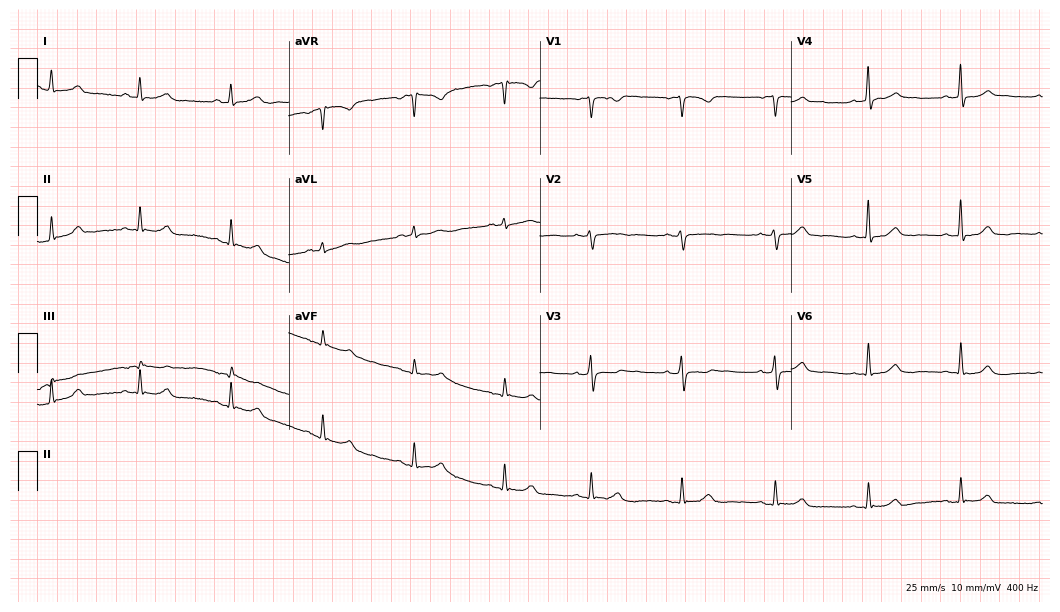
12-lead ECG from a female patient, 42 years old. Recorded interpretation: within normal limits.